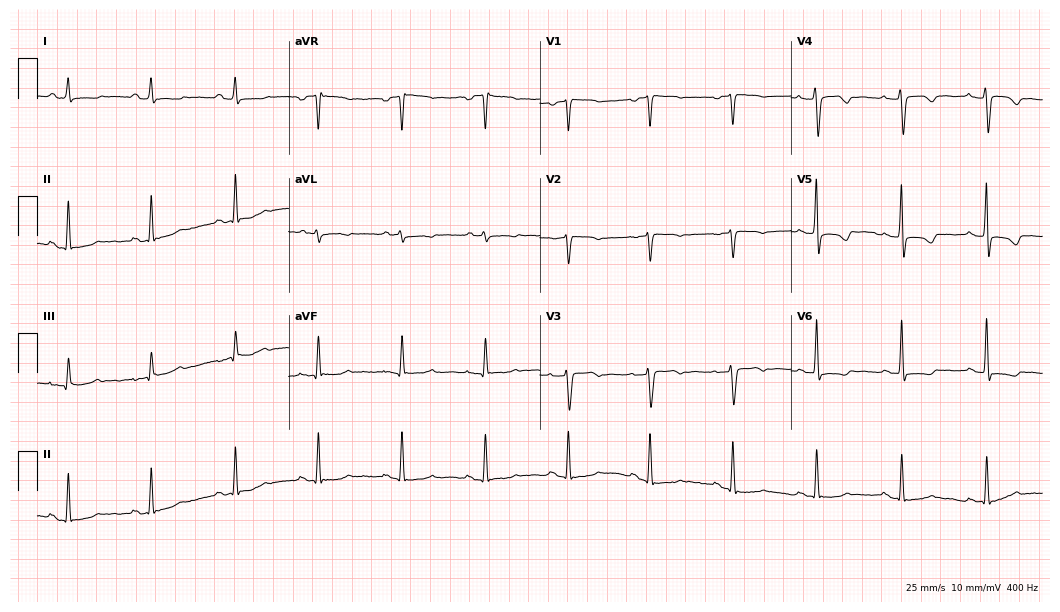
Electrocardiogram, a 59-year-old female. Of the six screened findings (first-degree AV block, right bundle branch block (RBBB), left bundle branch block (LBBB), sinus bradycardia, atrial fibrillation (AF), sinus tachycardia), none is recorded. Findings outside these six are not listed.